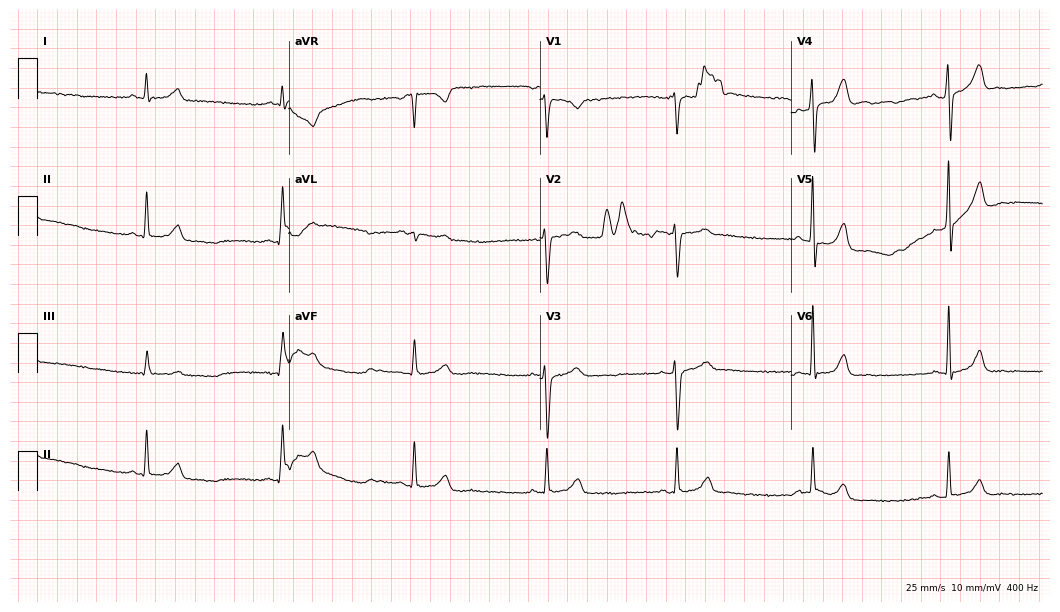
Electrocardiogram, a 38-year-old male patient. Interpretation includes sinus bradycardia (a sinus rate of 50 beats per minute or less).